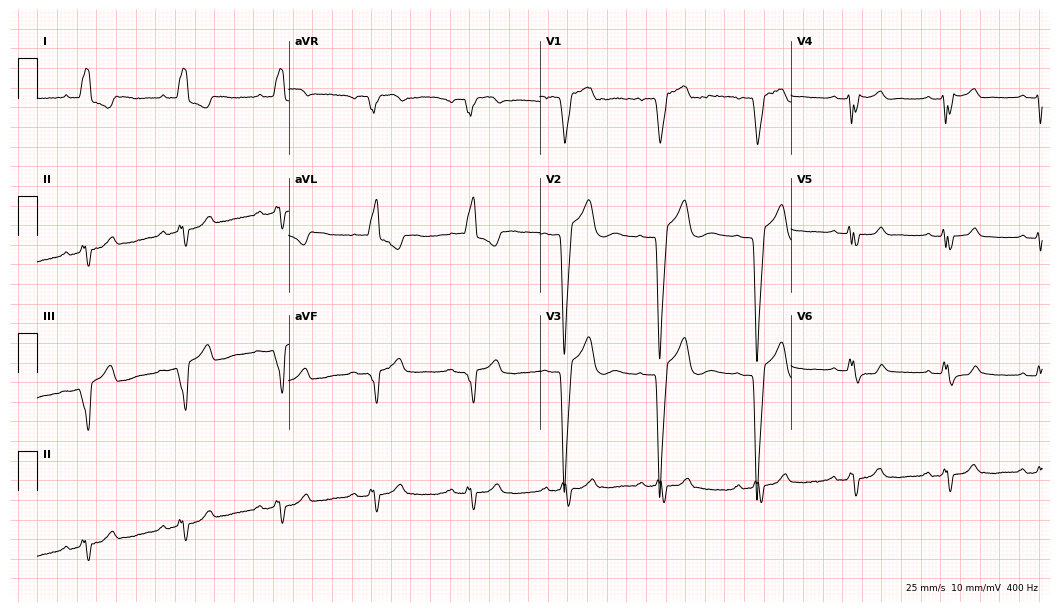
Resting 12-lead electrocardiogram. Patient: a 69-year-old female. The tracing shows left bundle branch block.